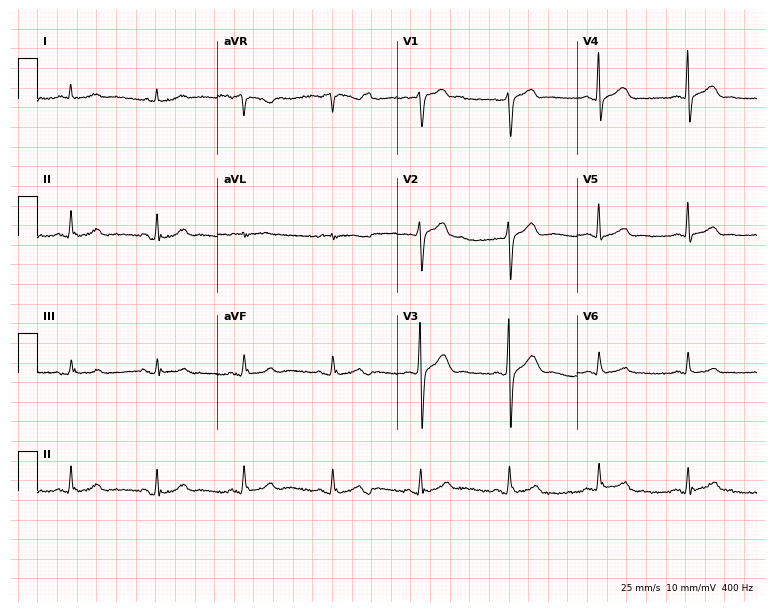
Resting 12-lead electrocardiogram. Patient: a 52-year-old man. Read as a normal ECG.